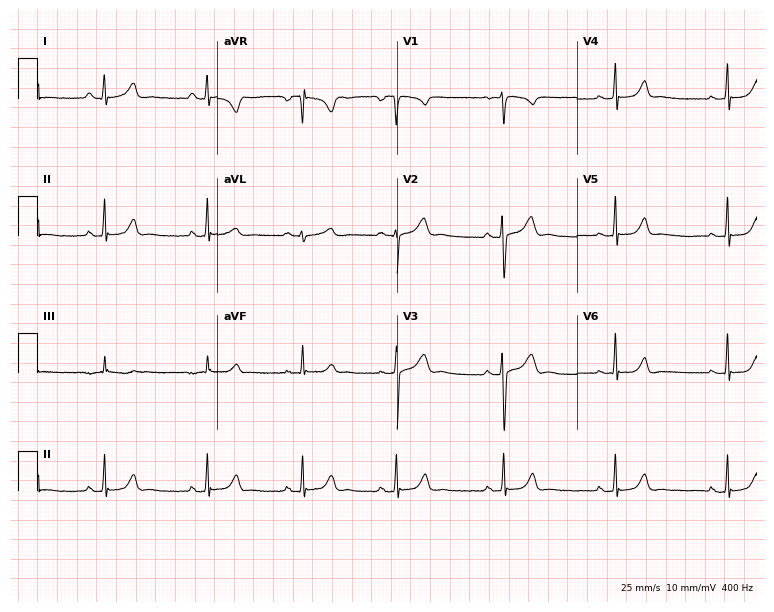
12-lead ECG (7.3-second recording at 400 Hz) from a female patient, 32 years old. Labelled as a normal ECG.